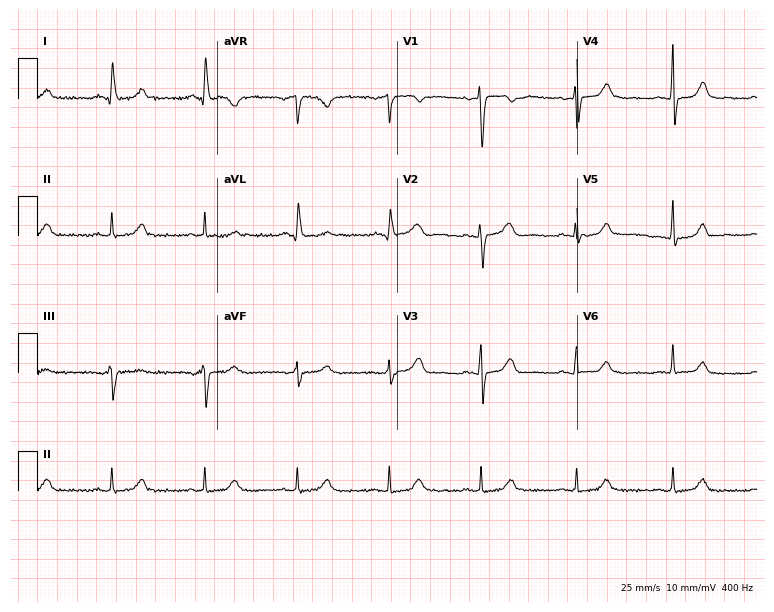
Standard 12-lead ECG recorded from a female, 50 years old (7.3-second recording at 400 Hz). Read as a normal ECG.